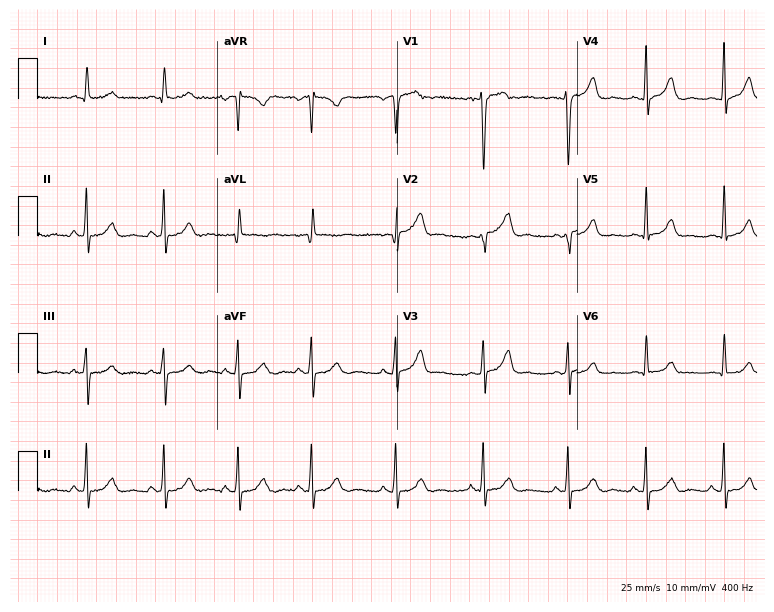
12-lead ECG (7.3-second recording at 400 Hz) from a 31-year-old female. Labelled as a normal ECG.